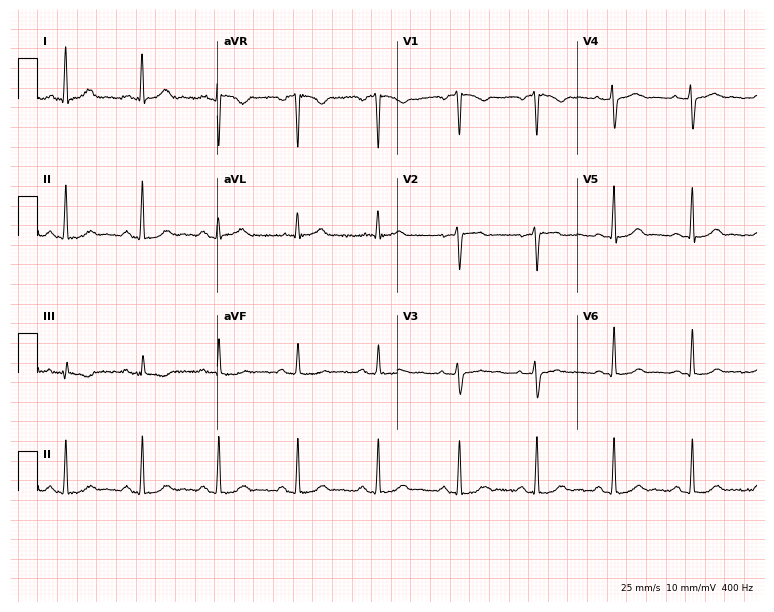
12-lead ECG from a 50-year-old female patient (7.3-second recording at 400 Hz). Recorded interpretation: within normal limits.